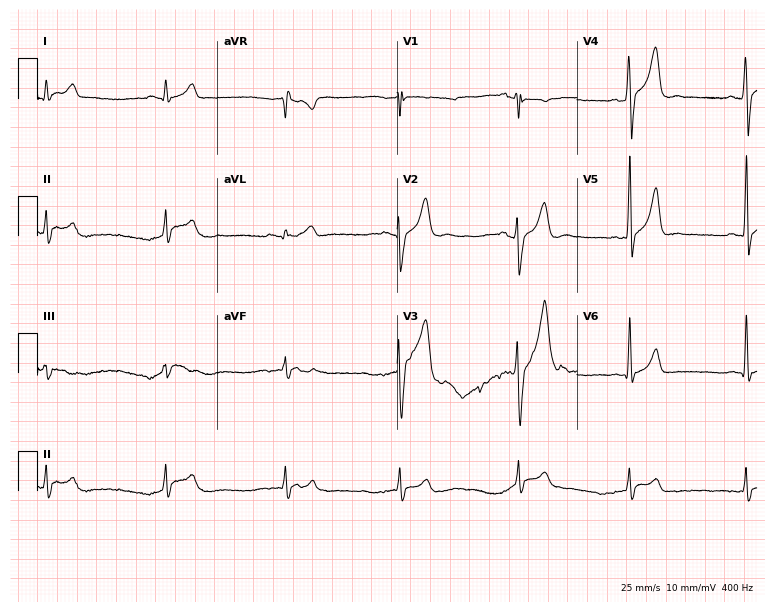
Electrocardiogram (7.3-second recording at 400 Hz), a 22-year-old man. Overall reading on record: normal ECG.